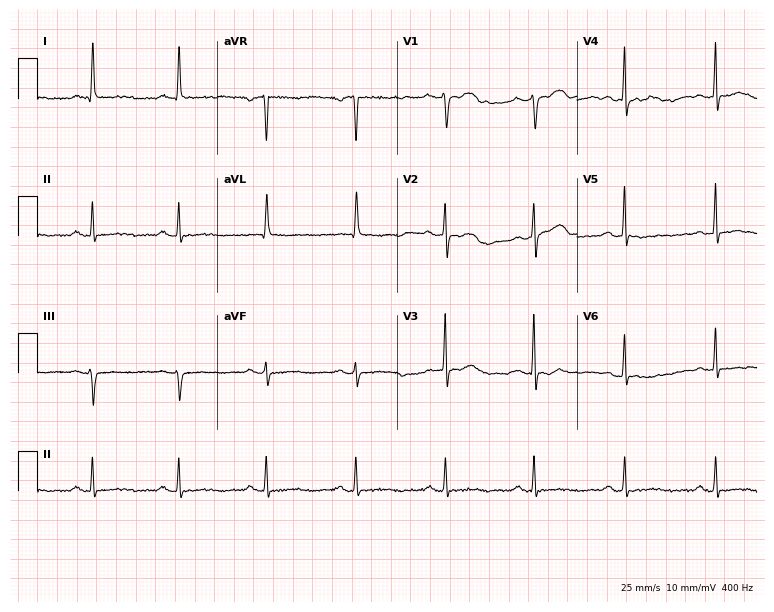
12-lead ECG from a female patient, 65 years old (7.3-second recording at 400 Hz). No first-degree AV block, right bundle branch block (RBBB), left bundle branch block (LBBB), sinus bradycardia, atrial fibrillation (AF) or sinus tachycardia recorded for this tracing. Only these six findings were labelled.